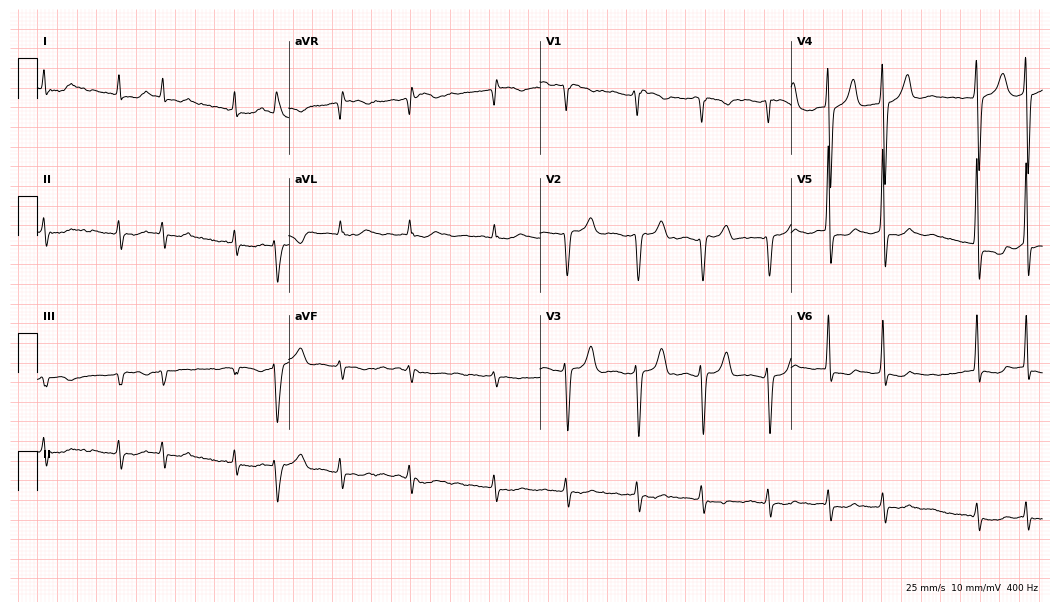
Resting 12-lead electrocardiogram. Patient: a male, 77 years old. The tracing shows atrial fibrillation.